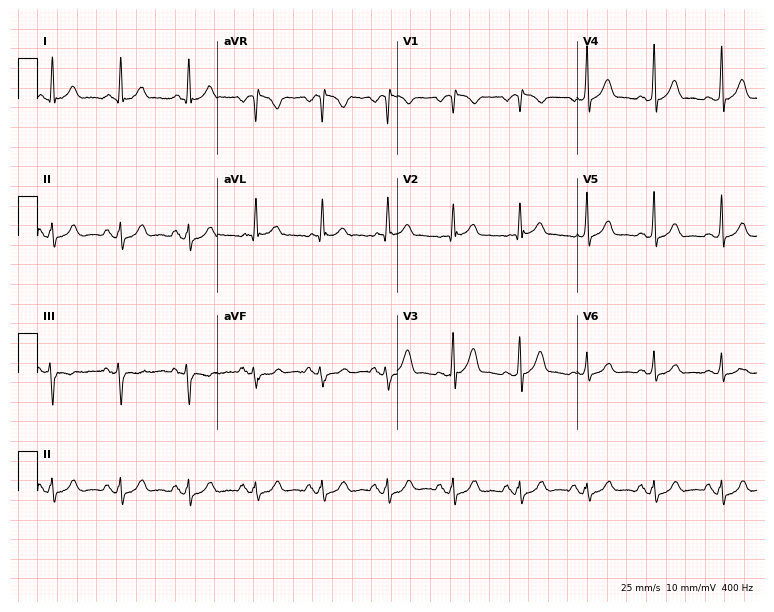
Electrocardiogram, a male, 56 years old. Overall reading on record: normal ECG.